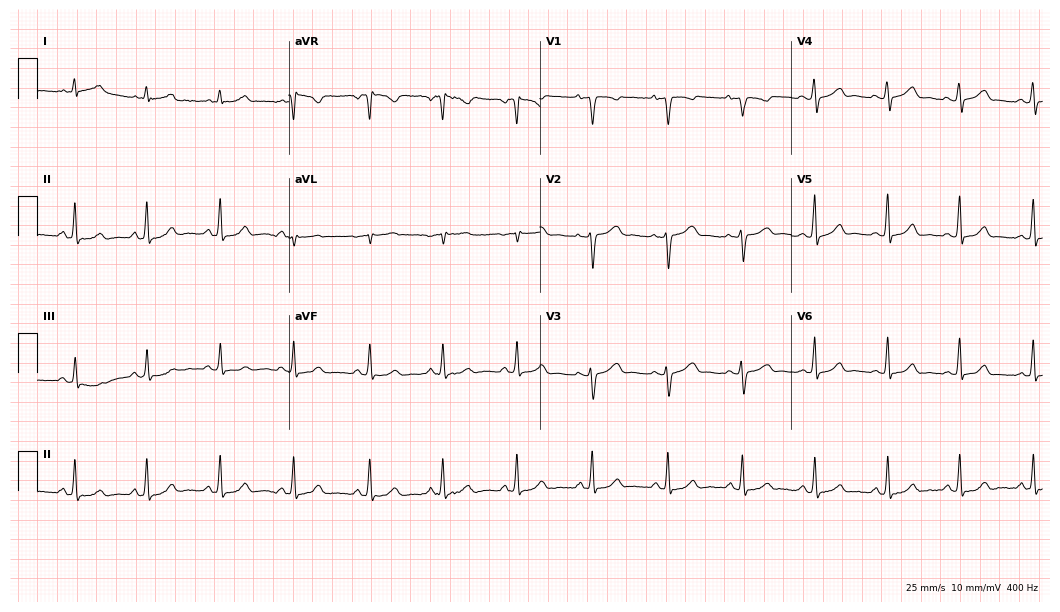
ECG — a male patient, 24 years old. Labelled as a normal ECG.